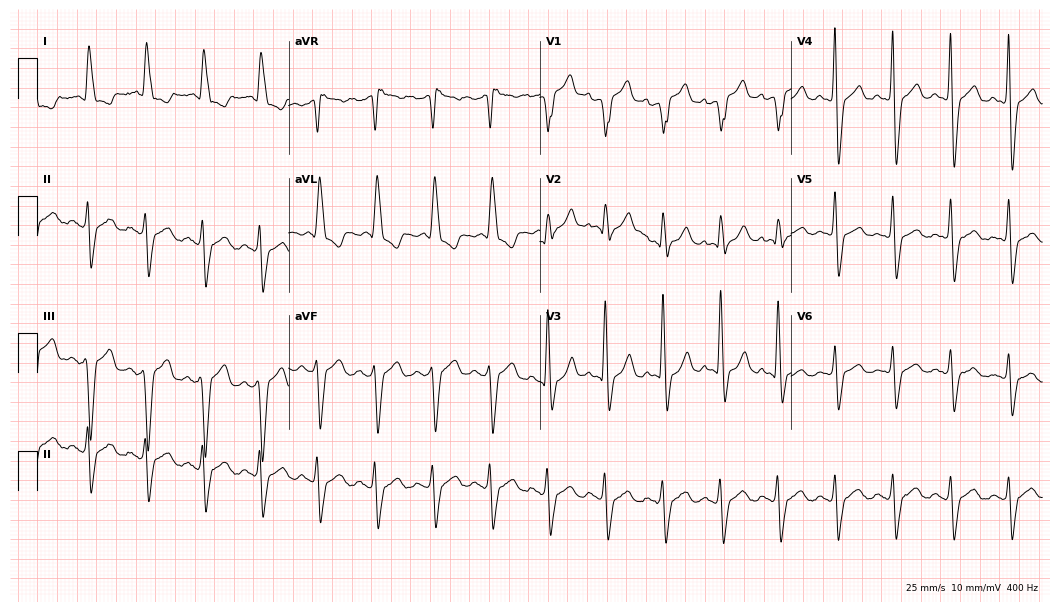
12-lead ECG from a 59-year-old male patient. Shows left bundle branch block (LBBB), sinus tachycardia (a sinus rate of 100 beats per minute or more).